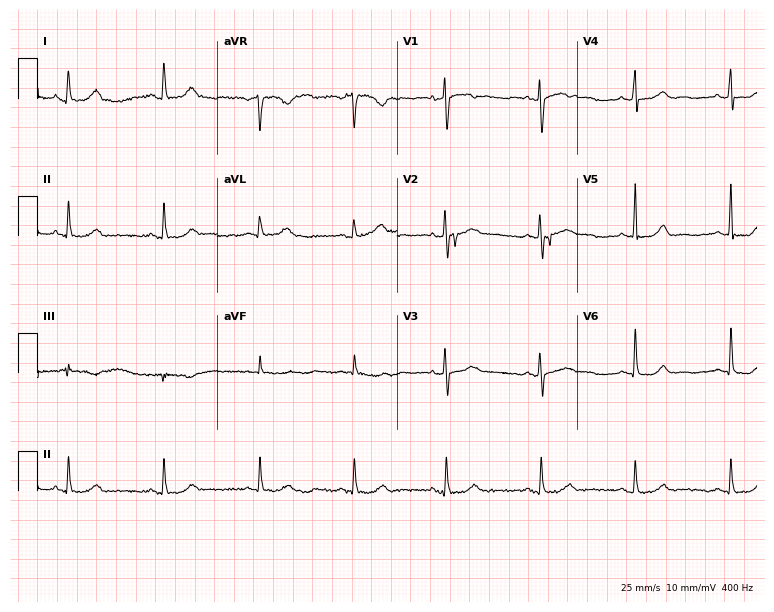
12-lead ECG (7.3-second recording at 400 Hz) from a female, 67 years old. Labelled as a normal ECG.